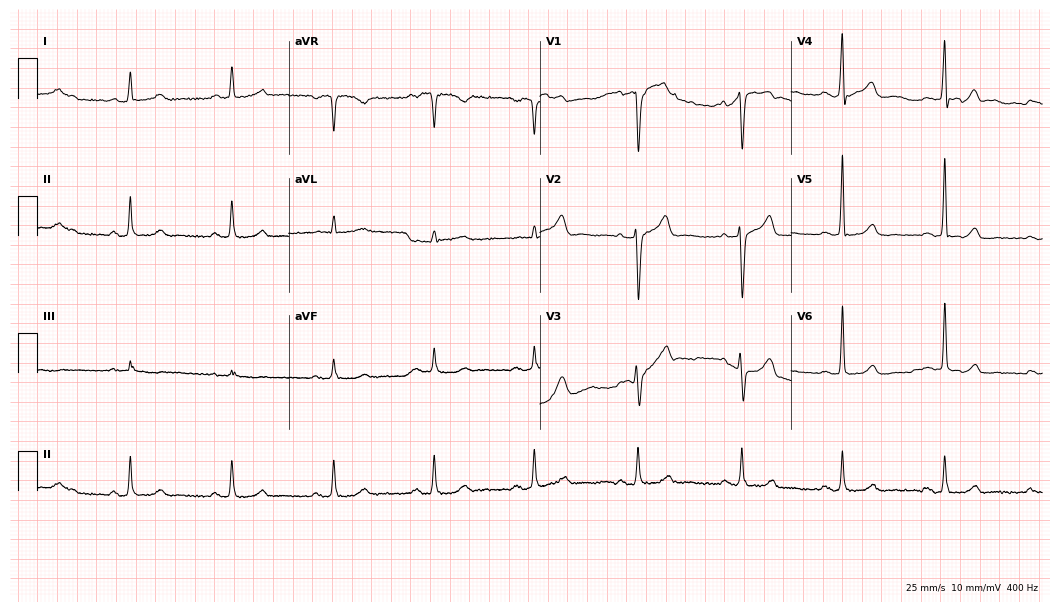
ECG — a 71-year-old male. Labelled as a normal ECG.